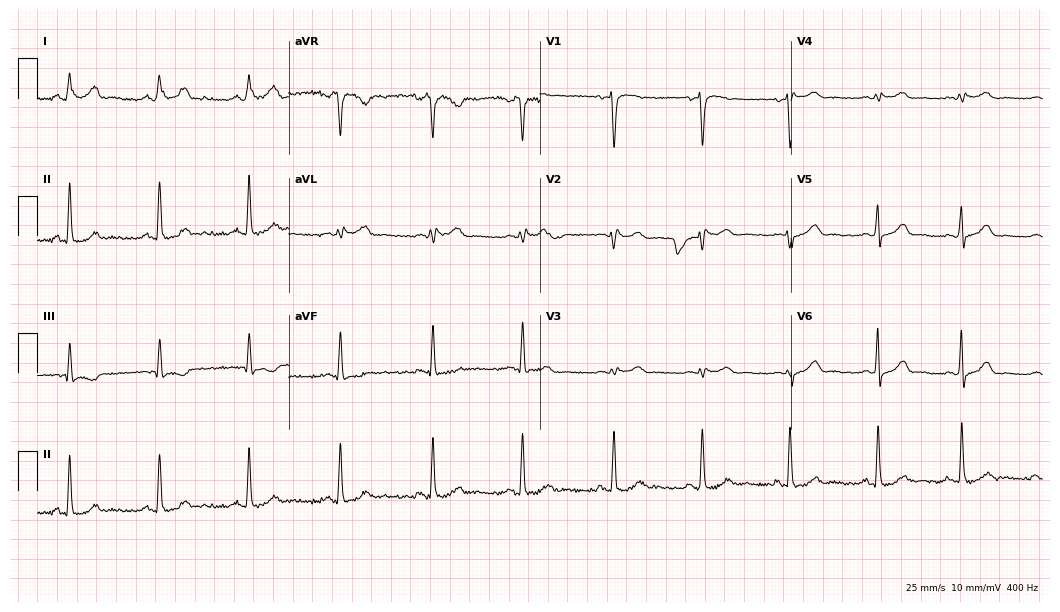
12-lead ECG from a female patient, 36 years old. No first-degree AV block, right bundle branch block (RBBB), left bundle branch block (LBBB), sinus bradycardia, atrial fibrillation (AF) or sinus tachycardia recorded for this tracing.